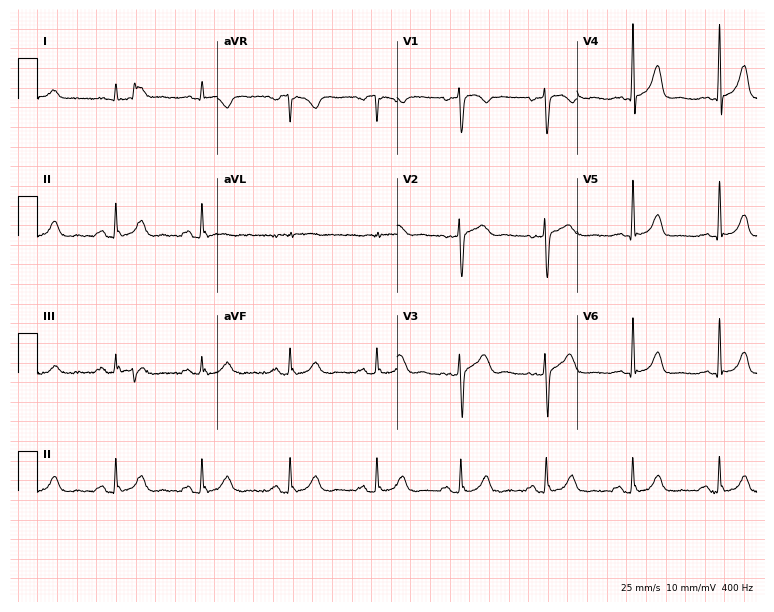
12-lead ECG from a female, 52 years old. Labelled as a normal ECG.